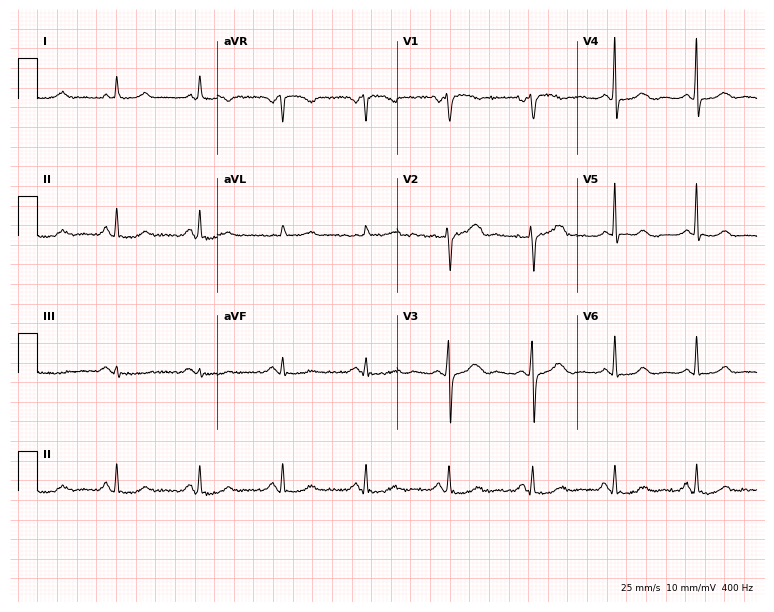
12-lead ECG from a female, 75 years old (7.3-second recording at 400 Hz). No first-degree AV block, right bundle branch block, left bundle branch block, sinus bradycardia, atrial fibrillation or sinus tachycardia recorded for this tracing.